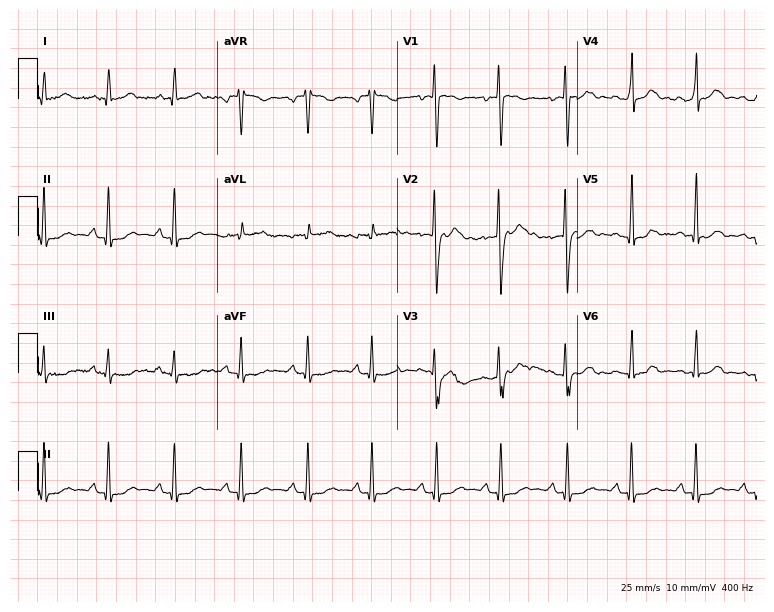
ECG — a 38-year-old female patient. Labelled as a normal ECG.